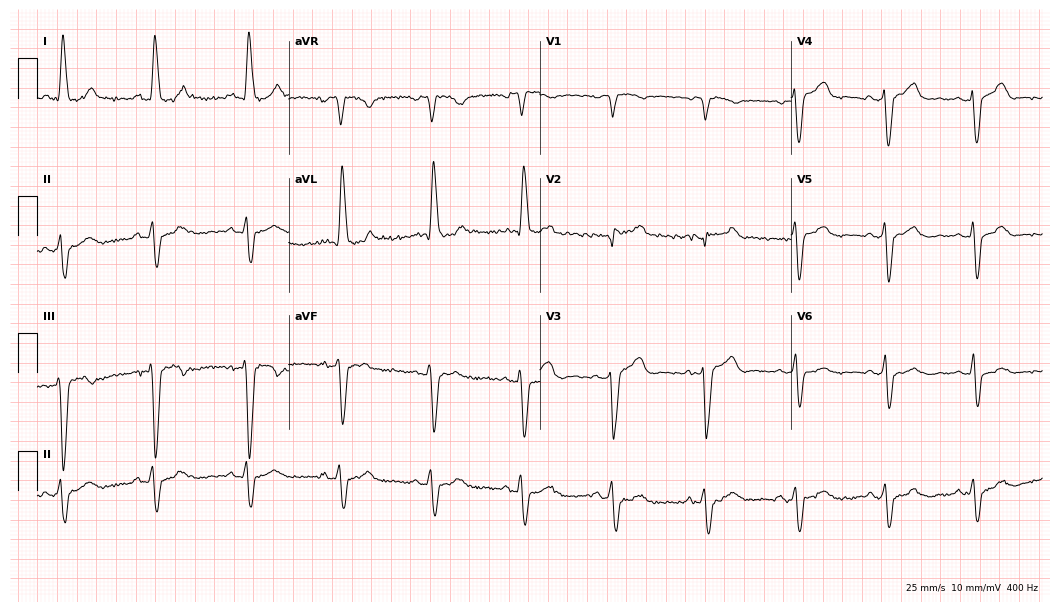
Electrocardiogram, a female, 67 years old. Interpretation includes left bundle branch block.